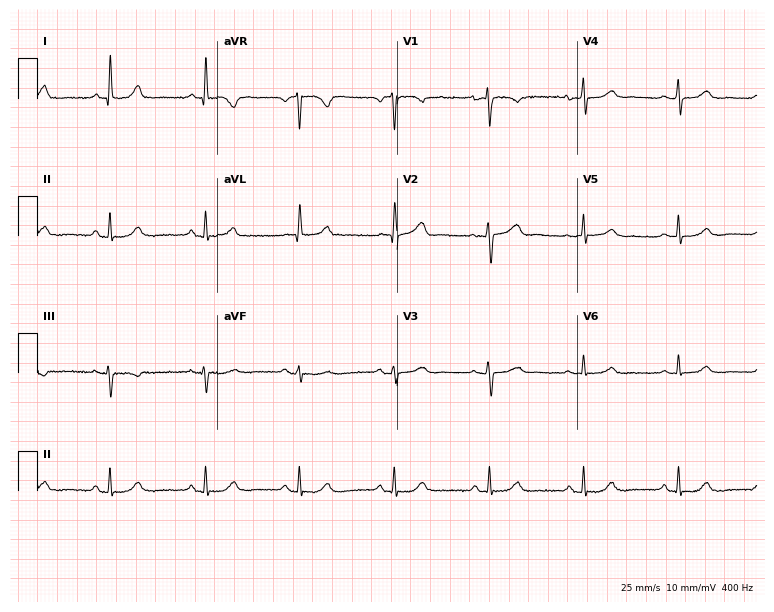
12-lead ECG from a 66-year-old female patient. Recorded interpretation: within normal limits.